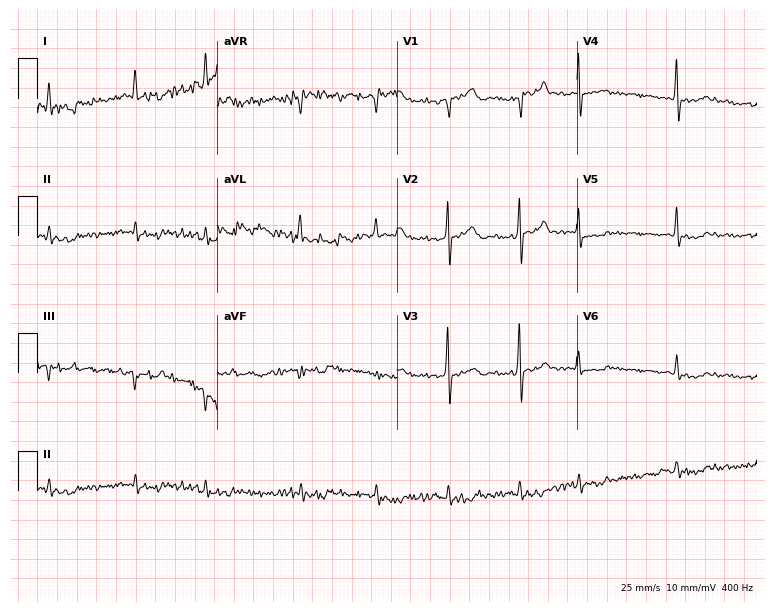
12-lead ECG from a male, 69 years old. Shows atrial fibrillation.